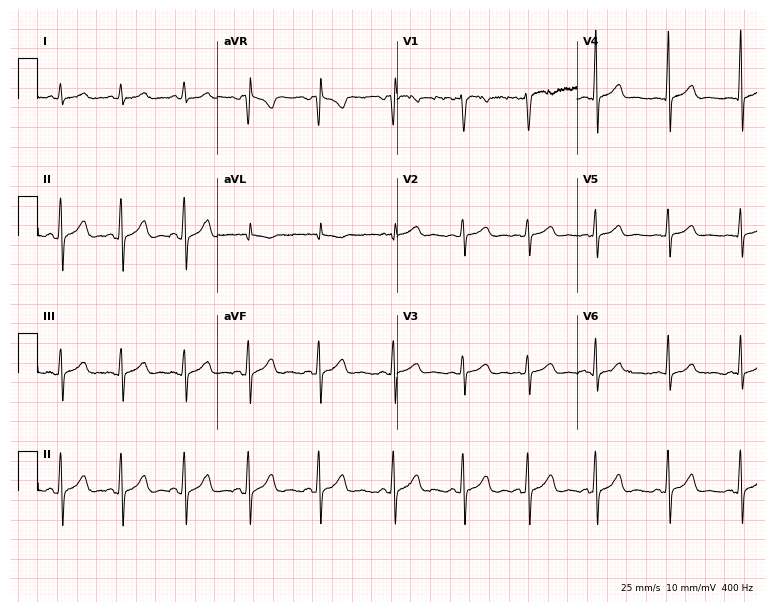
12-lead ECG from an 18-year-old female patient. Screened for six findings — first-degree AV block, right bundle branch block (RBBB), left bundle branch block (LBBB), sinus bradycardia, atrial fibrillation (AF), sinus tachycardia — none is recorded.